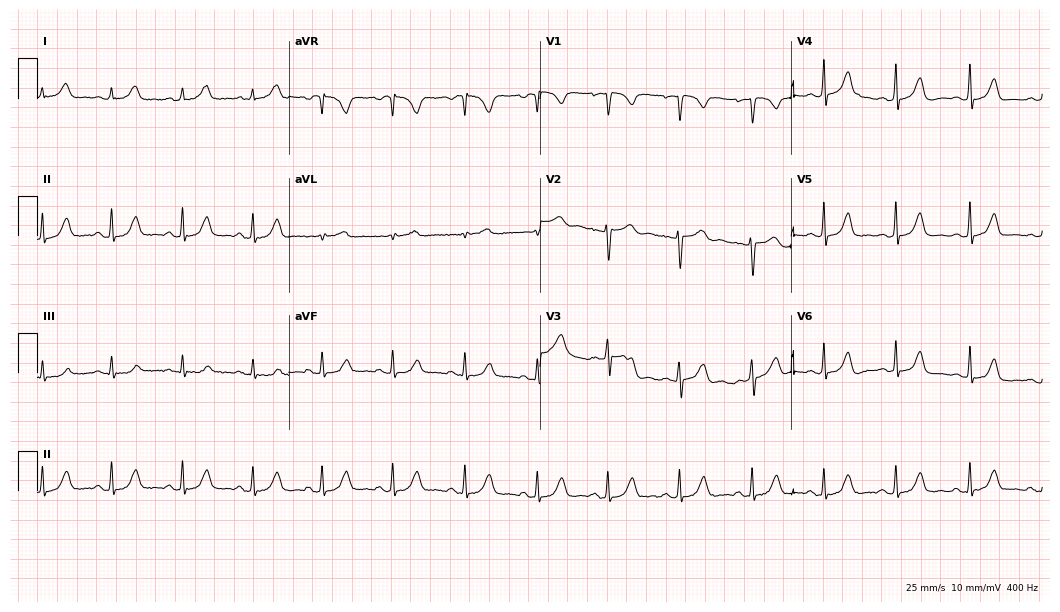
12-lead ECG from a 41-year-old female. Labelled as a normal ECG.